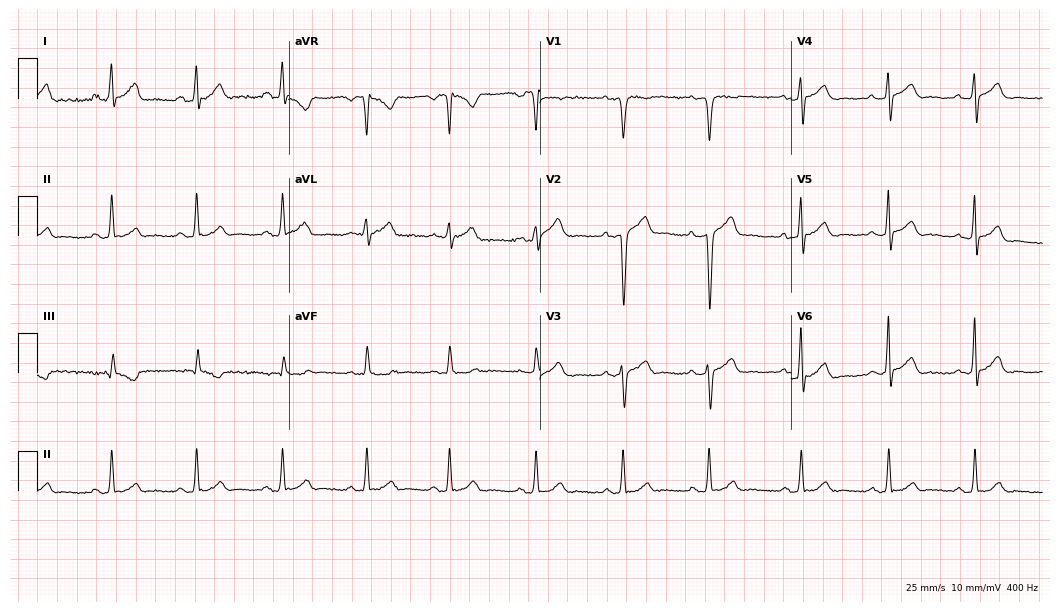
Standard 12-lead ECG recorded from a male, 30 years old. Read as a normal ECG.